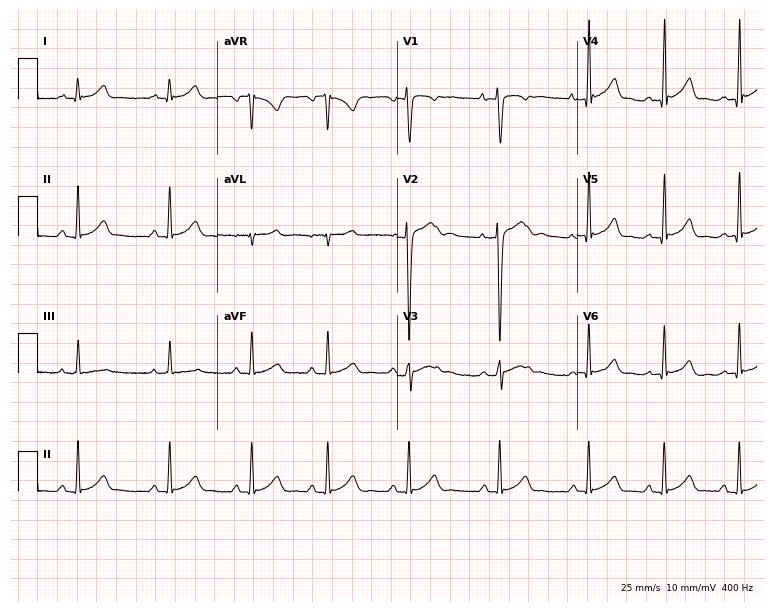
Resting 12-lead electrocardiogram. Patient: a 17-year-old man. Read as a normal ECG.